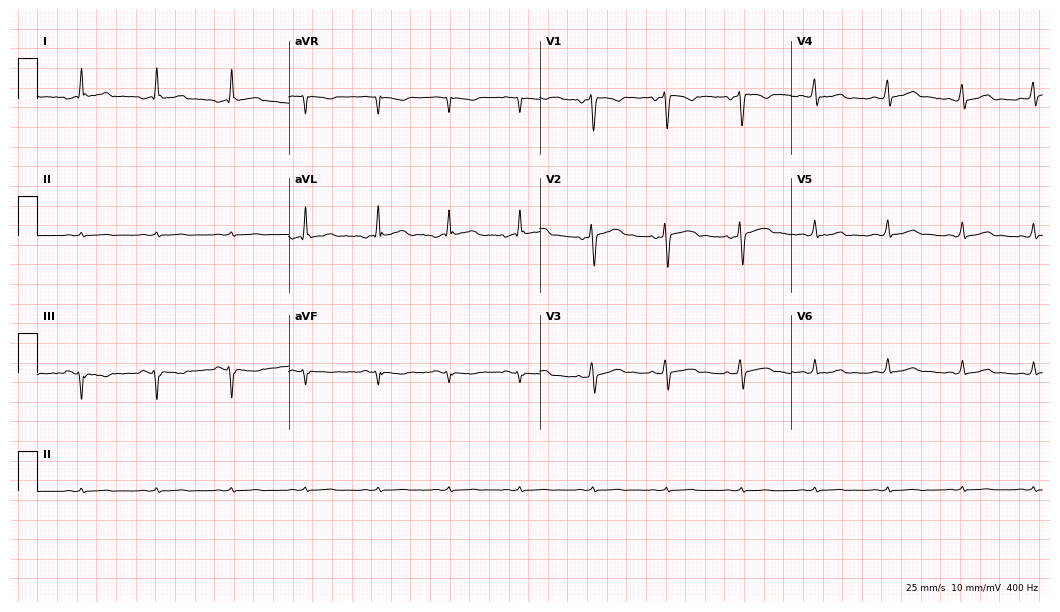
Electrocardiogram, a male patient, 30 years old. Of the six screened findings (first-degree AV block, right bundle branch block, left bundle branch block, sinus bradycardia, atrial fibrillation, sinus tachycardia), none is recorded.